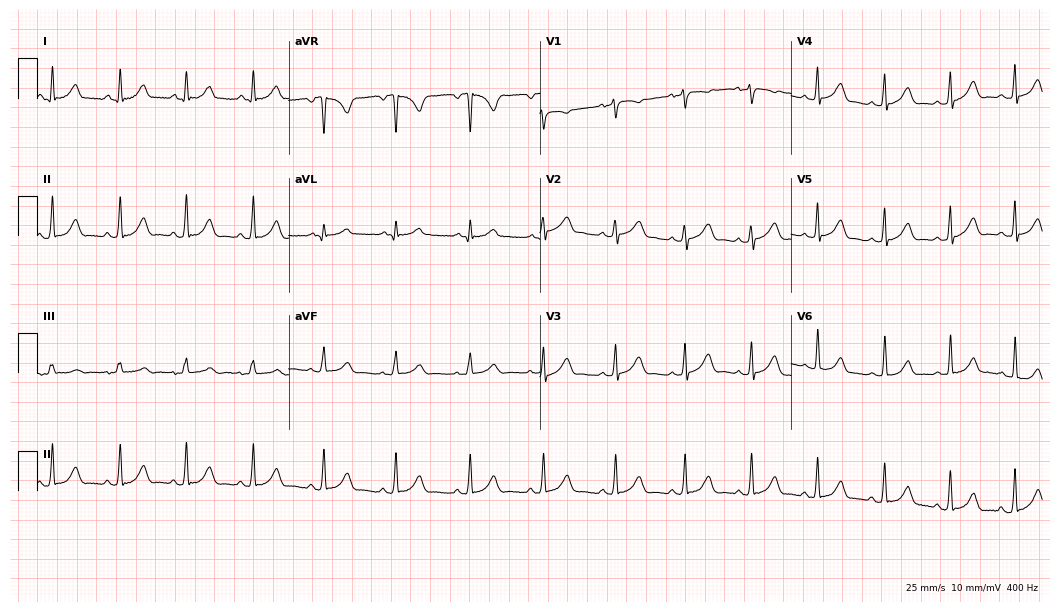
Standard 12-lead ECG recorded from a woman, 20 years old. None of these six findings is recorded: first-degree AV block, right bundle branch block (RBBB), left bundle branch block (LBBB), sinus bradycardia, atrial fibrillation (AF), sinus tachycardia. Findings outside these six are not listed.